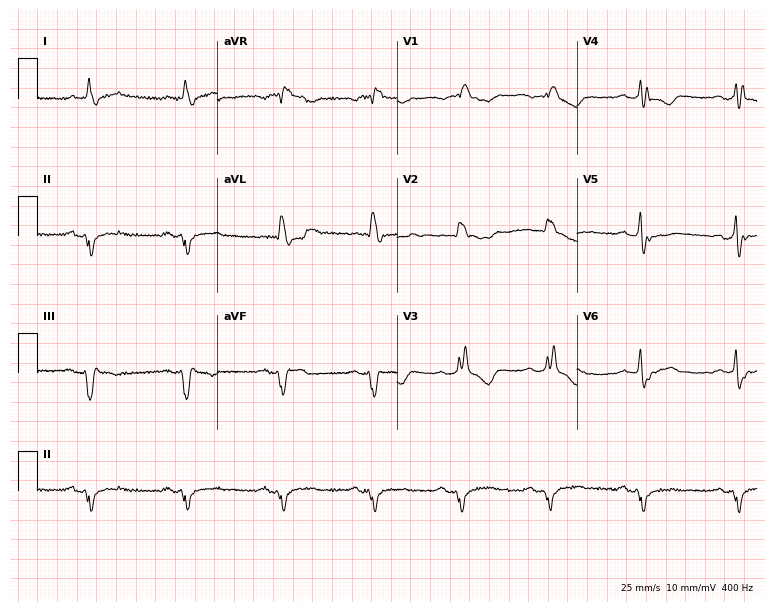
ECG — a 73-year-old male. Findings include right bundle branch block.